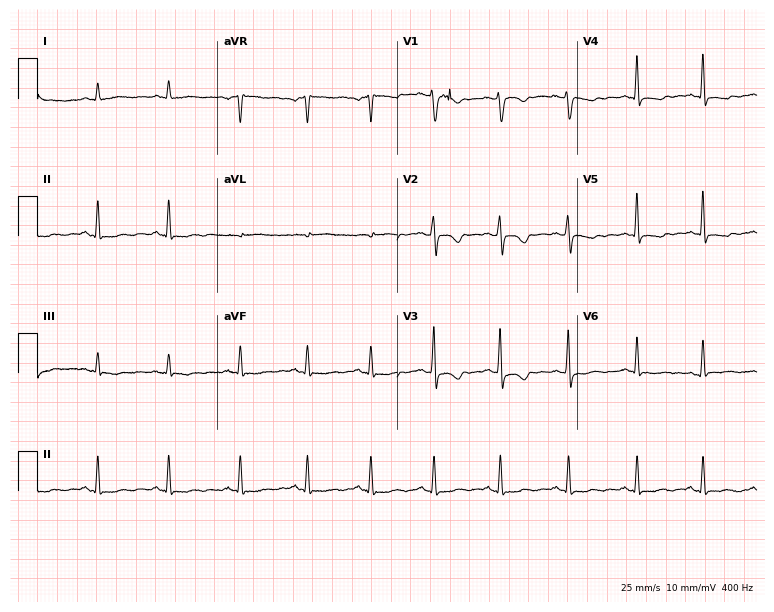
Resting 12-lead electrocardiogram. Patient: a 42-year-old woman. None of these six findings is recorded: first-degree AV block, right bundle branch block (RBBB), left bundle branch block (LBBB), sinus bradycardia, atrial fibrillation (AF), sinus tachycardia.